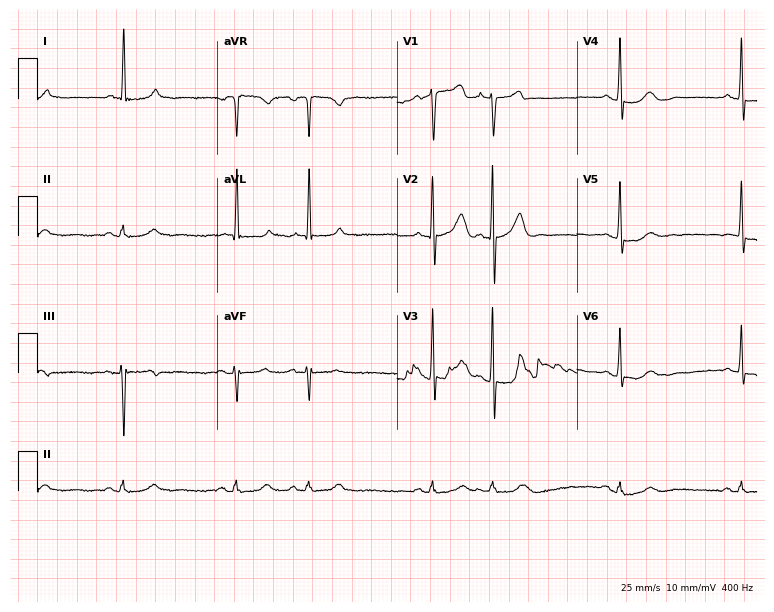
ECG — a male patient, 74 years old. Screened for six findings — first-degree AV block, right bundle branch block (RBBB), left bundle branch block (LBBB), sinus bradycardia, atrial fibrillation (AF), sinus tachycardia — none is recorded. Only these six findings were labelled.